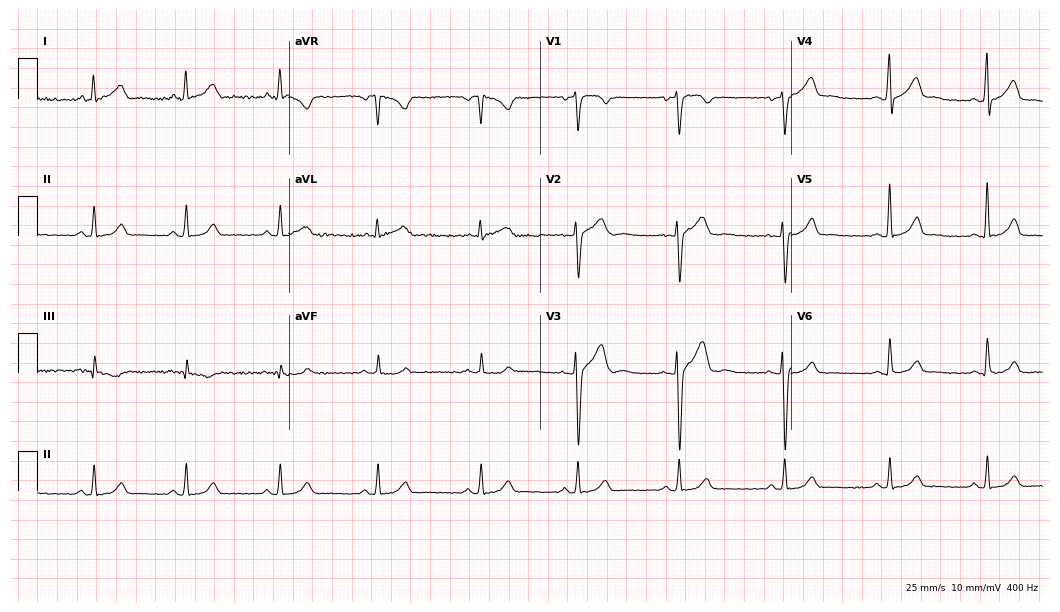
ECG — a male, 35 years old. Labelled as a normal ECG.